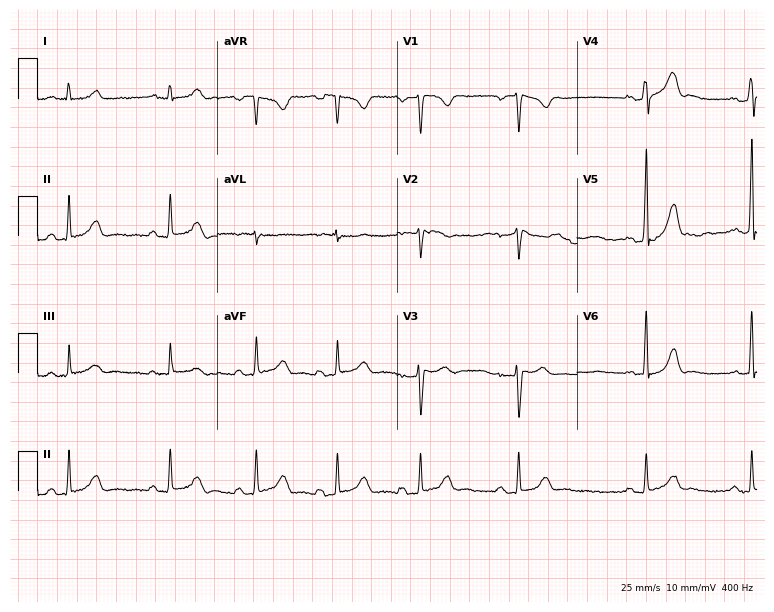
Electrocardiogram, a 30-year-old man. Overall reading on record: normal ECG.